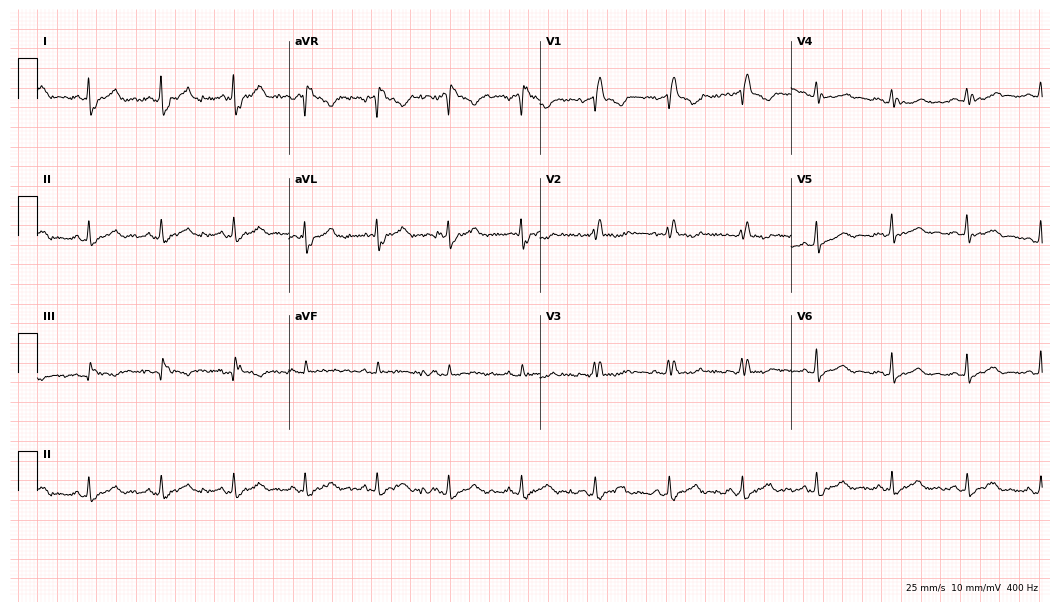
12-lead ECG (10.2-second recording at 400 Hz) from a 55-year-old male patient. Findings include right bundle branch block.